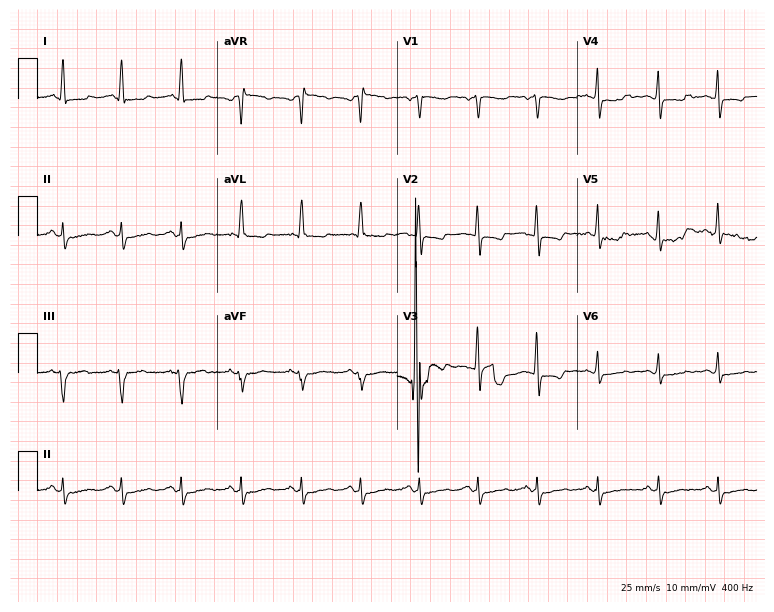
12-lead ECG from a 52-year-old female. Shows sinus tachycardia (a sinus rate of 100 beats per minute or more).